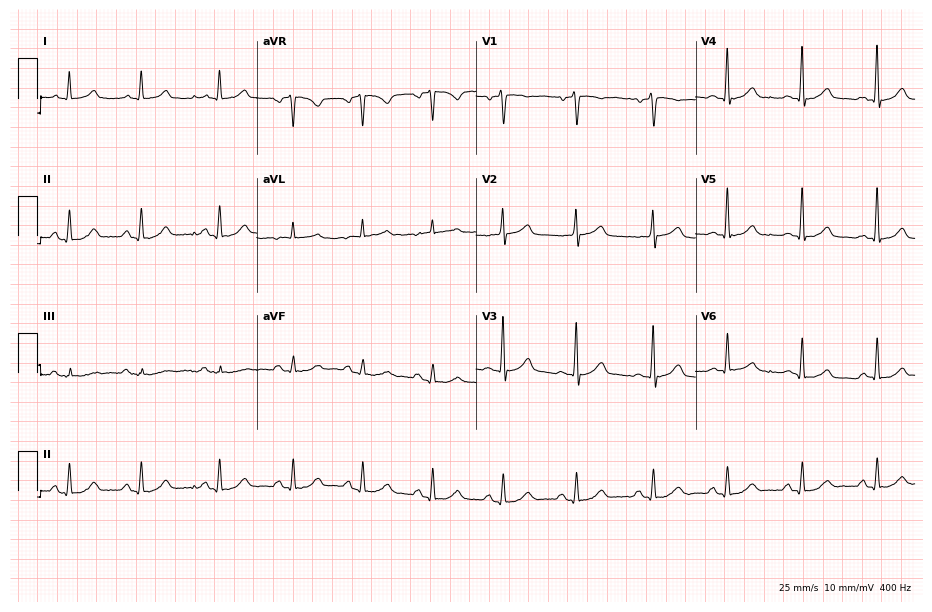
Resting 12-lead electrocardiogram (8.9-second recording at 400 Hz). Patient: a 56-year-old male. Read as a normal ECG.